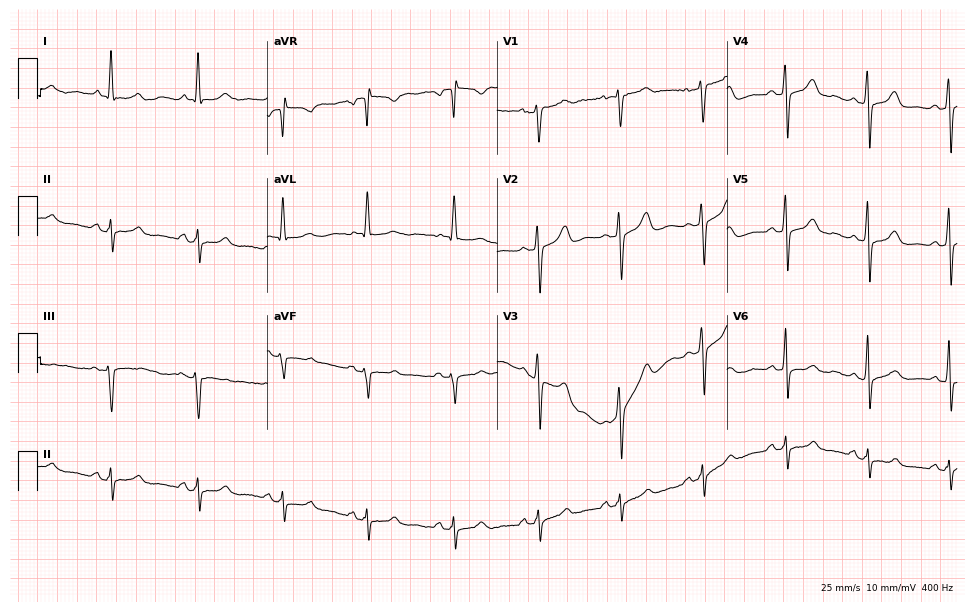
Resting 12-lead electrocardiogram (9.4-second recording at 400 Hz). Patient: a 67-year-old woman. None of these six findings is recorded: first-degree AV block, right bundle branch block, left bundle branch block, sinus bradycardia, atrial fibrillation, sinus tachycardia.